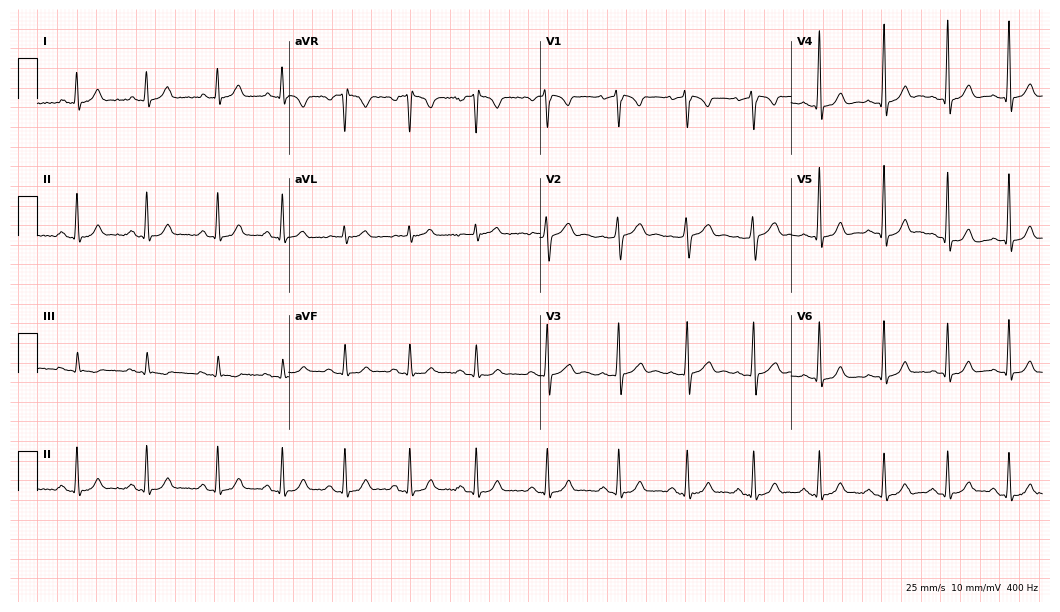
Standard 12-lead ECG recorded from a 34-year-old male patient. Read as a normal ECG.